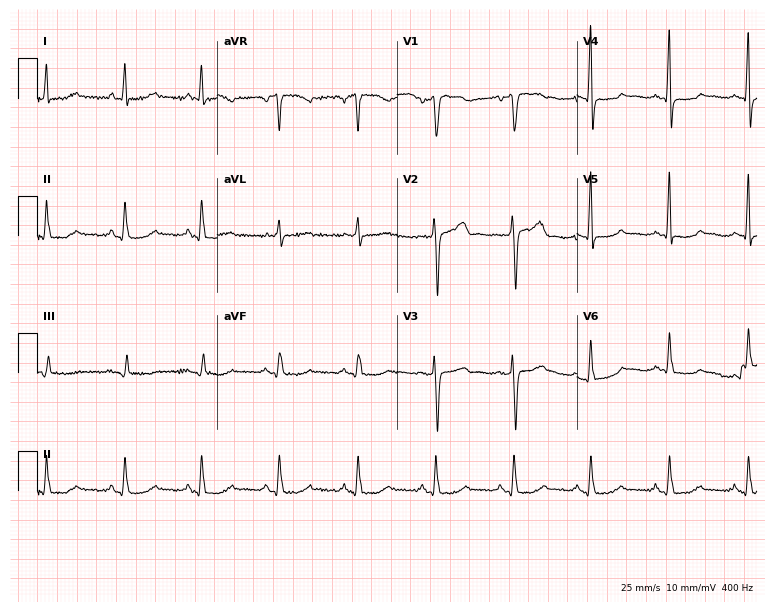
Resting 12-lead electrocardiogram. Patient: a 58-year-old woman. Read as a normal ECG.